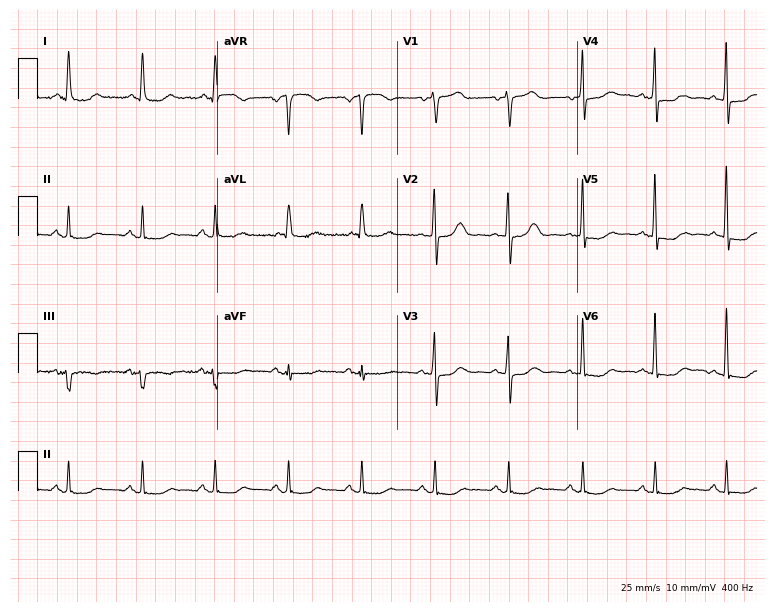
Standard 12-lead ECG recorded from a woman, 66 years old (7.3-second recording at 400 Hz). None of these six findings is recorded: first-degree AV block, right bundle branch block, left bundle branch block, sinus bradycardia, atrial fibrillation, sinus tachycardia. Findings outside these six are not listed.